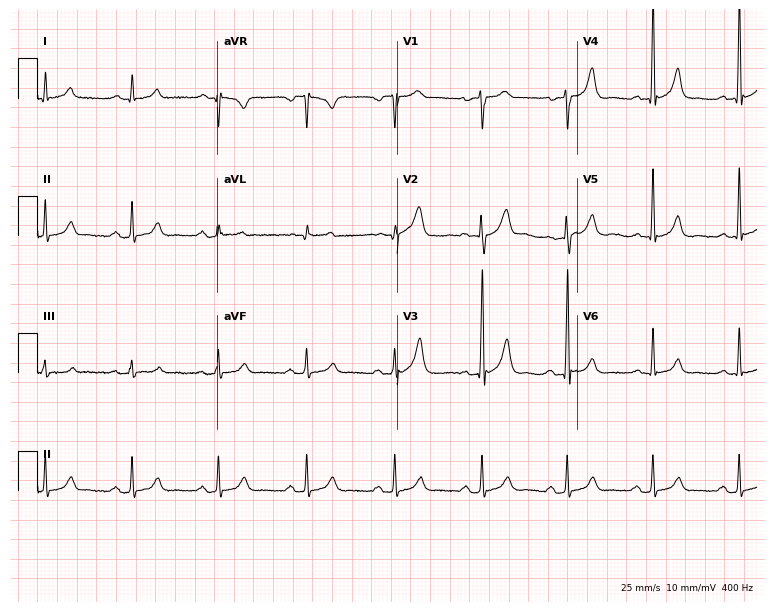
12-lead ECG from a 59-year-old male patient. Labelled as a normal ECG.